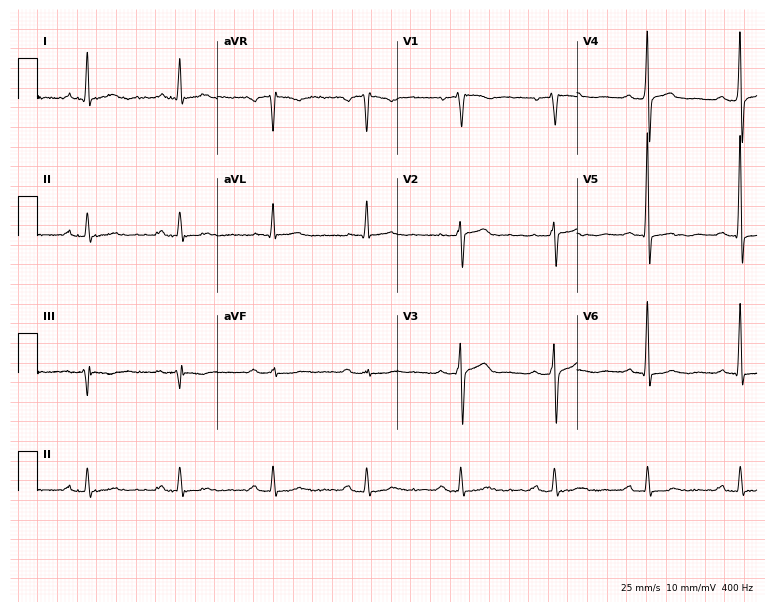
Resting 12-lead electrocardiogram (7.3-second recording at 400 Hz). Patient: a man, 64 years old. The tracing shows first-degree AV block.